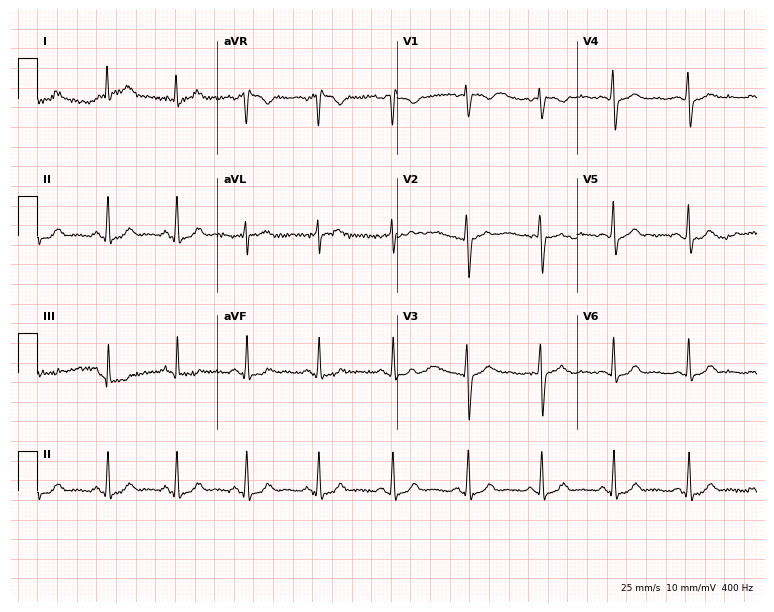
12-lead ECG from a 38-year-old woman. No first-degree AV block, right bundle branch block (RBBB), left bundle branch block (LBBB), sinus bradycardia, atrial fibrillation (AF) or sinus tachycardia recorded for this tracing.